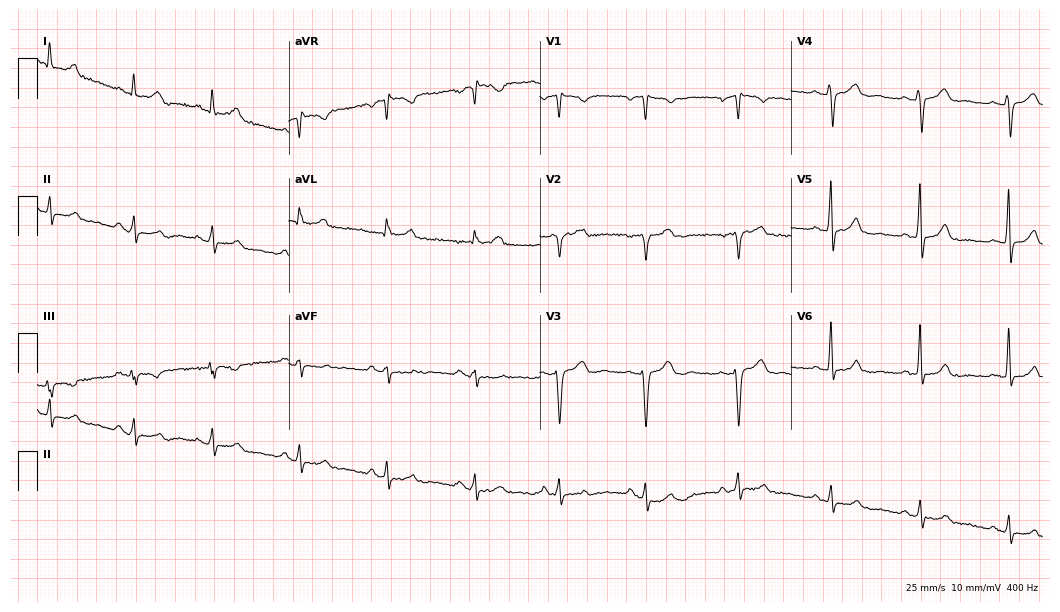
12-lead ECG (10.2-second recording at 400 Hz) from a 45-year-old man. Screened for six findings — first-degree AV block, right bundle branch block, left bundle branch block, sinus bradycardia, atrial fibrillation, sinus tachycardia — none is recorded.